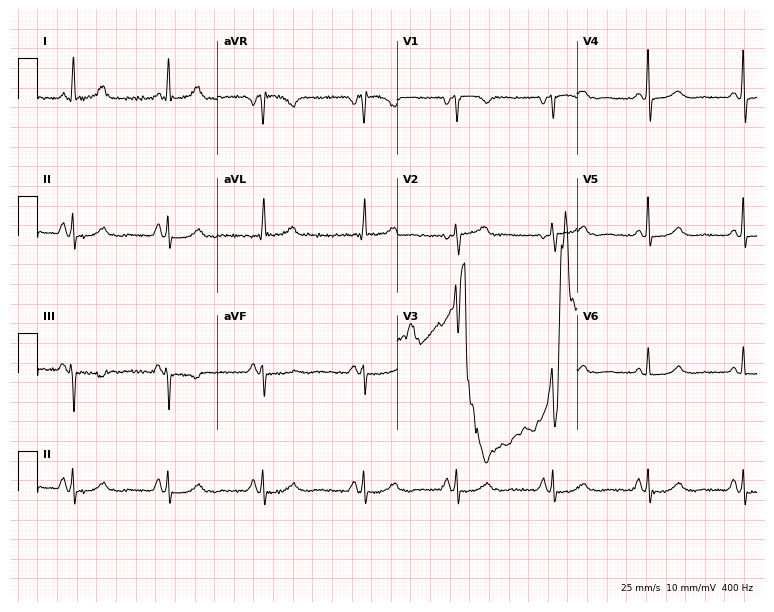
Resting 12-lead electrocardiogram (7.3-second recording at 400 Hz). Patient: a 66-year-old woman. None of these six findings is recorded: first-degree AV block, right bundle branch block, left bundle branch block, sinus bradycardia, atrial fibrillation, sinus tachycardia.